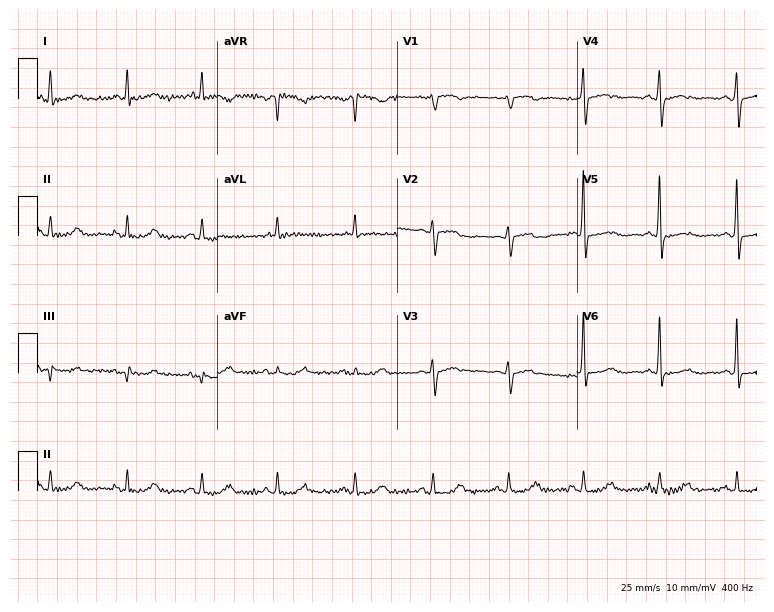
Resting 12-lead electrocardiogram. Patient: a female, 73 years old. None of these six findings is recorded: first-degree AV block, right bundle branch block (RBBB), left bundle branch block (LBBB), sinus bradycardia, atrial fibrillation (AF), sinus tachycardia. Findings outside these six are not listed.